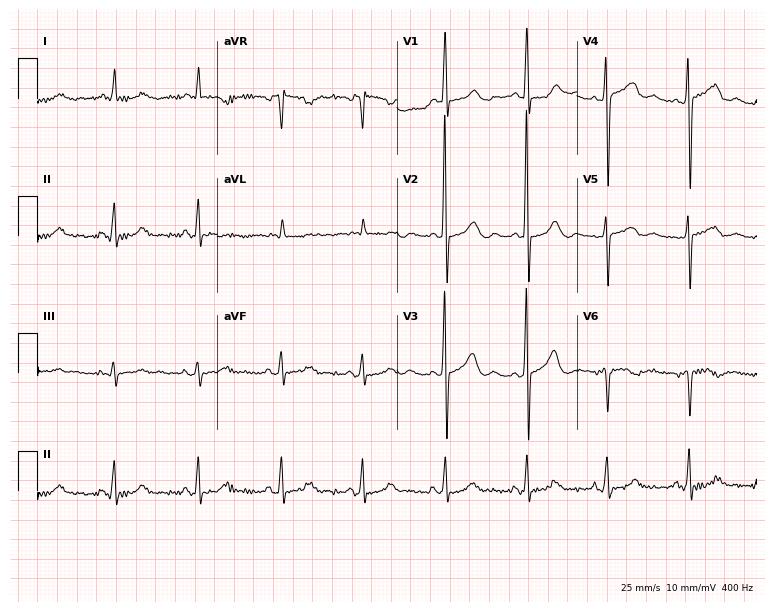
Standard 12-lead ECG recorded from a woman, 82 years old. None of these six findings is recorded: first-degree AV block, right bundle branch block, left bundle branch block, sinus bradycardia, atrial fibrillation, sinus tachycardia. Only these six findings were labelled.